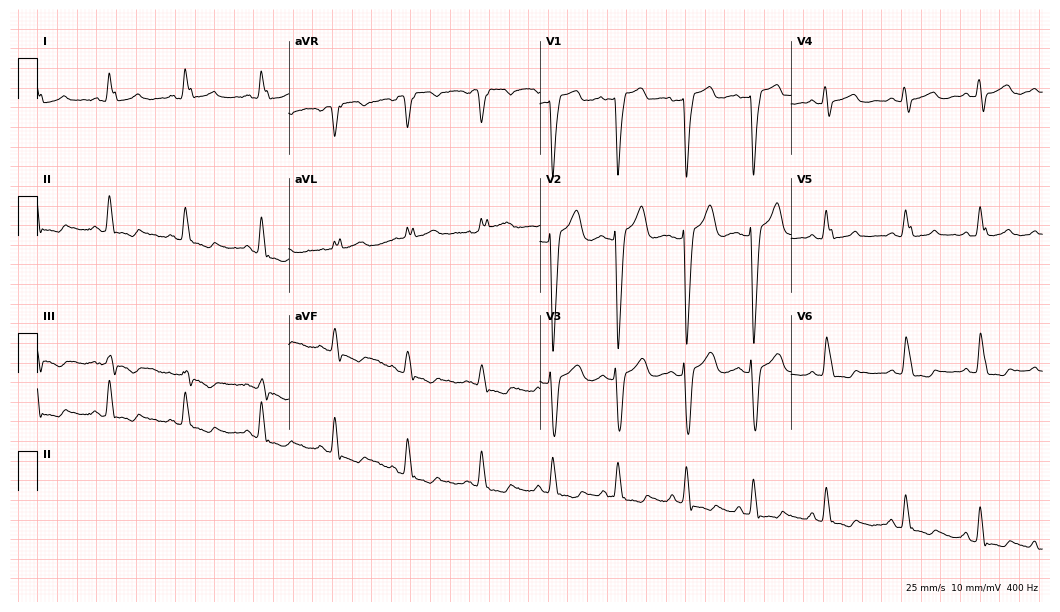
Resting 12-lead electrocardiogram (10.2-second recording at 400 Hz). Patient: a 36-year-old man. The tracing shows left bundle branch block.